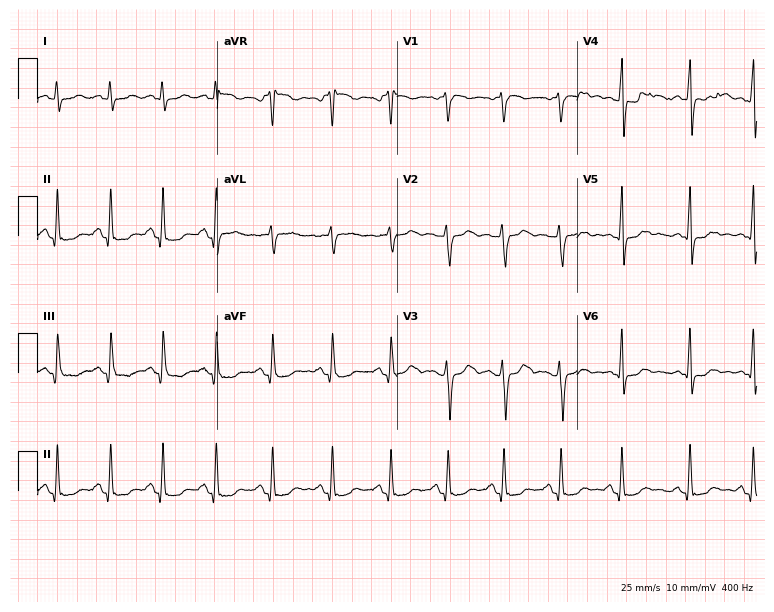
12-lead ECG from a 30-year-old female. Screened for six findings — first-degree AV block, right bundle branch block (RBBB), left bundle branch block (LBBB), sinus bradycardia, atrial fibrillation (AF), sinus tachycardia — none is recorded.